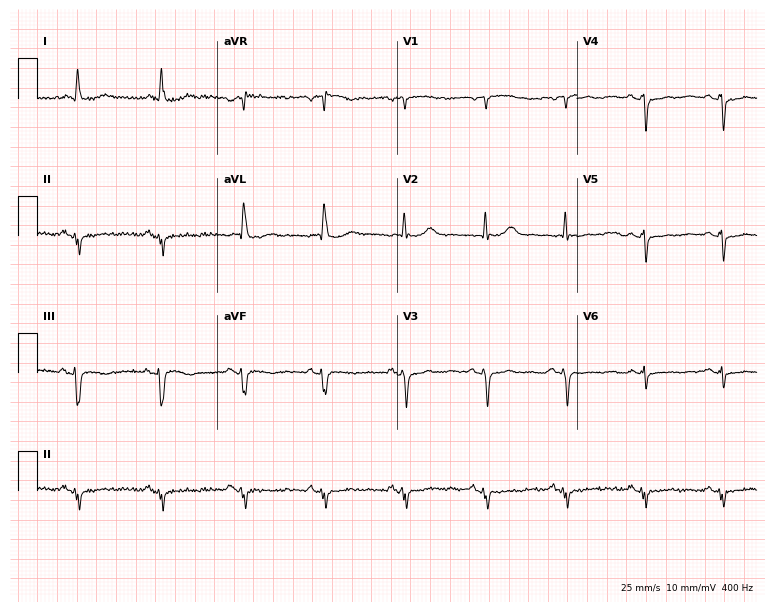
ECG (7.3-second recording at 400 Hz) — a woman, 72 years old. Screened for six findings — first-degree AV block, right bundle branch block, left bundle branch block, sinus bradycardia, atrial fibrillation, sinus tachycardia — none is recorded. Other findings, if any, are not listed.